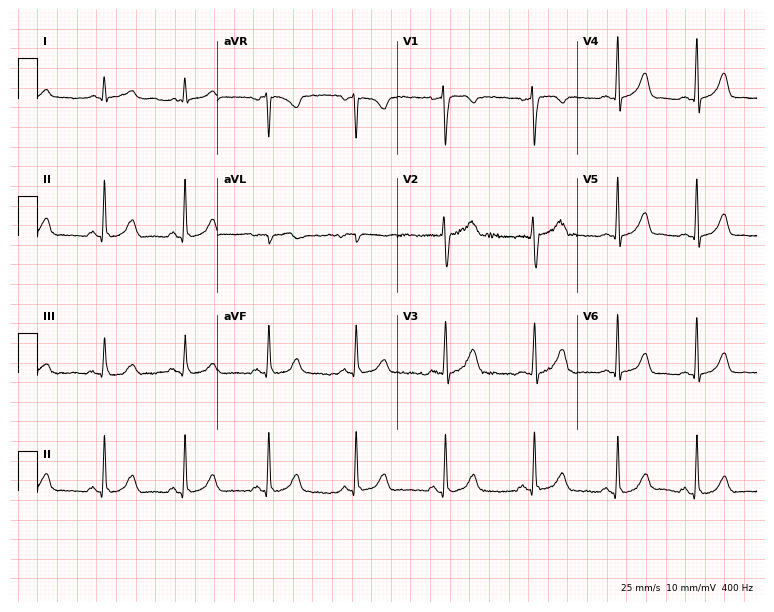
Standard 12-lead ECG recorded from a 28-year-old female patient (7.3-second recording at 400 Hz). Read as a normal ECG.